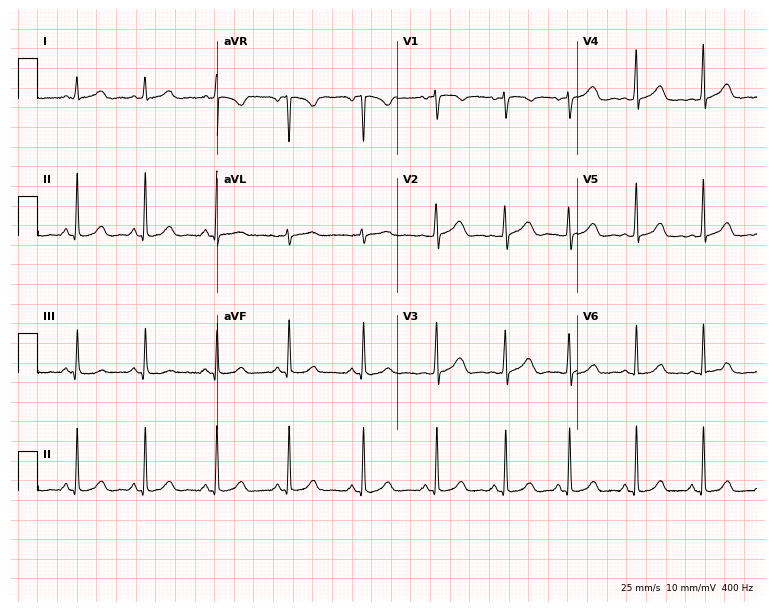
Resting 12-lead electrocardiogram (7.3-second recording at 400 Hz). Patient: a 42-year-old woman. None of these six findings is recorded: first-degree AV block, right bundle branch block (RBBB), left bundle branch block (LBBB), sinus bradycardia, atrial fibrillation (AF), sinus tachycardia. Only these six findings were labelled.